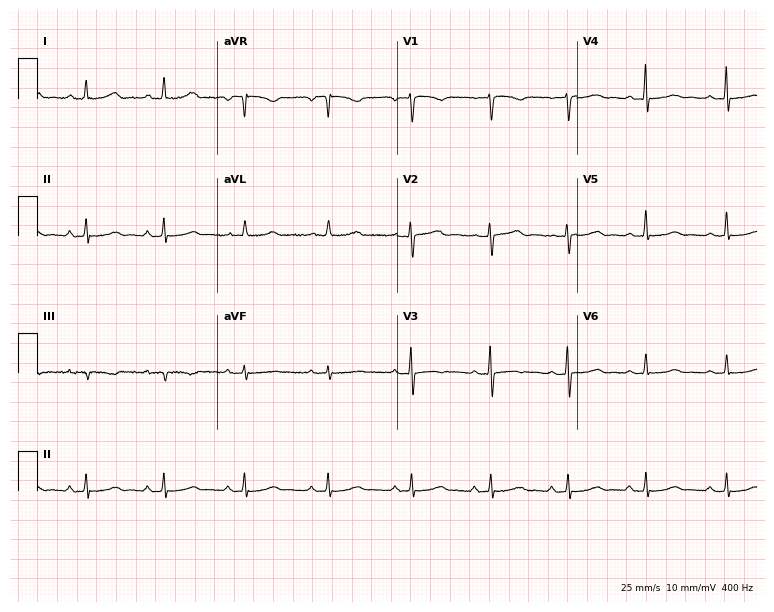
12-lead ECG (7.3-second recording at 400 Hz) from a female patient, 51 years old. Screened for six findings — first-degree AV block, right bundle branch block (RBBB), left bundle branch block (LBBB), sinus bradycardia, atrial fibrillation (AF), sinus tachycardia — none is recorded. Other findings, if any, are not listed.